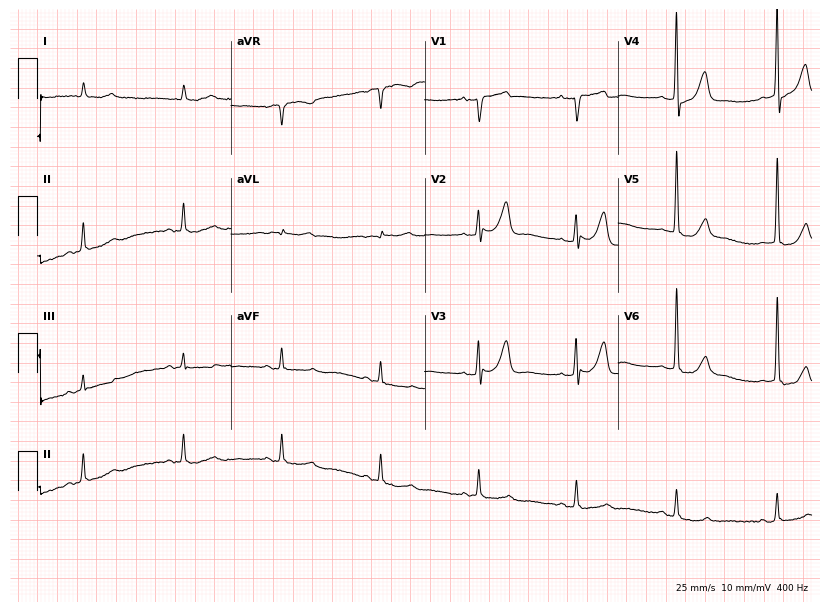
Resting 12-lead electrocardiogram. Patient: a male, 83 years old. None of these six findings is recorded: first-degree AV block, right bundle branch block, left bundle branch block, sinus bradycardia, atrial fibrillation, sinus tachycardia. Other findings, if any, are not listed.